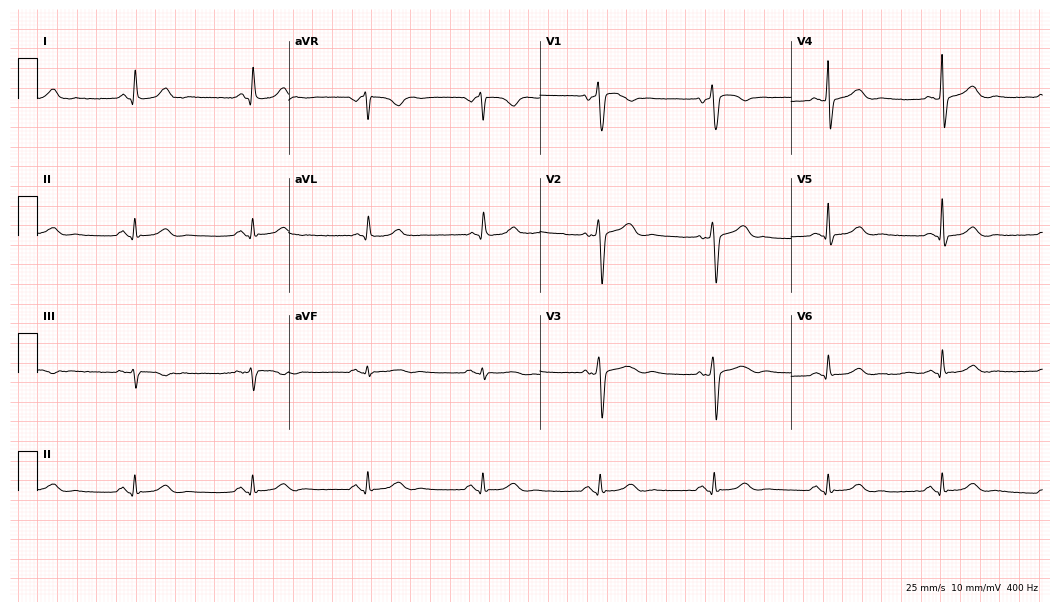
Resting 12-lead electrocardiogram (10.2-second recording at 400 Hz). Patient: a 61-year-old male. The tracing shows sinus bradycardia (a sinus rate of 50 beats per minute or less).